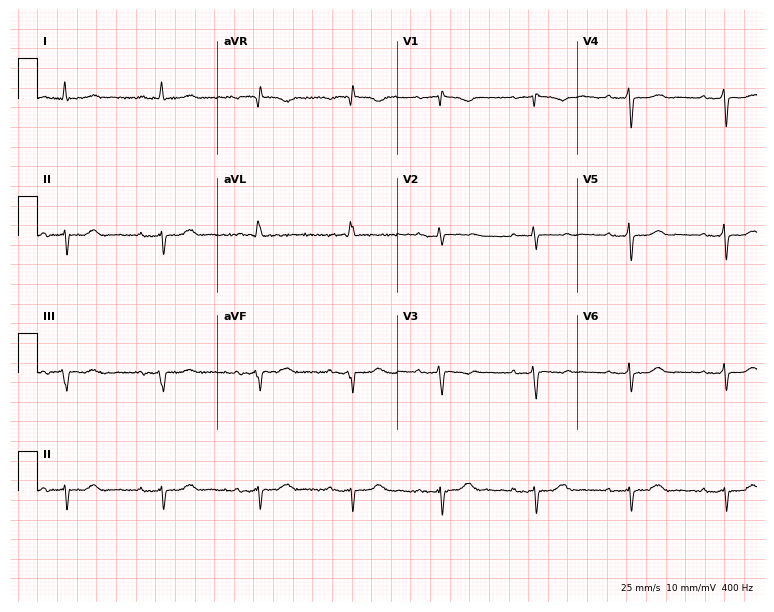
Standard 12-lead ECG recorded from an 83-year-old woman. The tracing shows first-degree AV block.